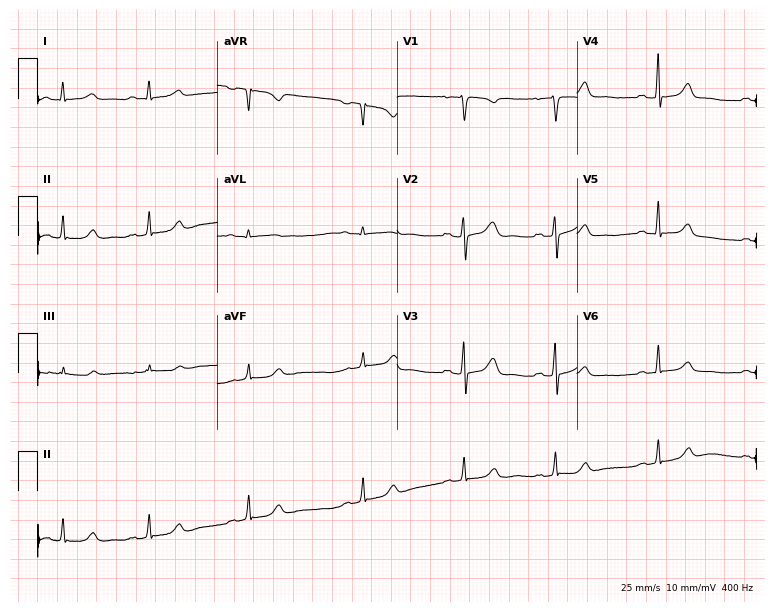
Standard 12-lead ECG recorded from a 30-year-old female. None of these six findings is recorded: first-degree AV block, right bundle branch block, left bundle branch block, sinus bradycardia, atrial fibrillation, sinus tachycardia. Findings outside these six are not listed.